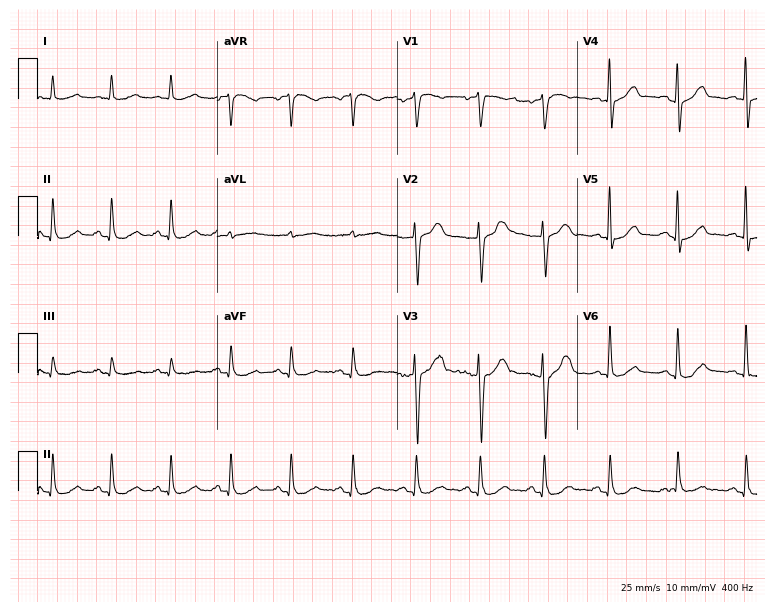
Resting 12-lead electrocardiogram. Patient: a 64-year-old man. None of these six findings is recorded: first-degree AV block, right bundle branch block (RBBB), left bundle branch block (LBBB), sinus bradycardia, atrial fibrillation (AF), sinus tachycardia. Other findings, if any, are not listed.